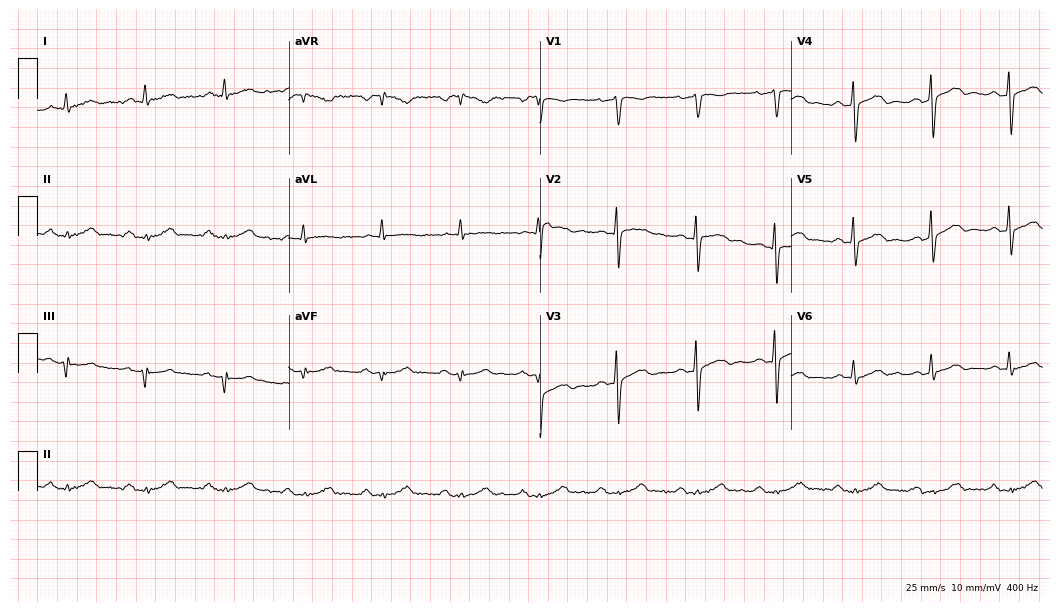
Standard 12-lead ECG recorded from a 74-year-old man. None of these six findings is recorded: first-degree AV block, right bundle branch block (RBBB), left bundle branch block (LBBB), sinus bradycardia, atrial fibrillation (AF), sinus tachycardia. Other findings, if any, are not listed.